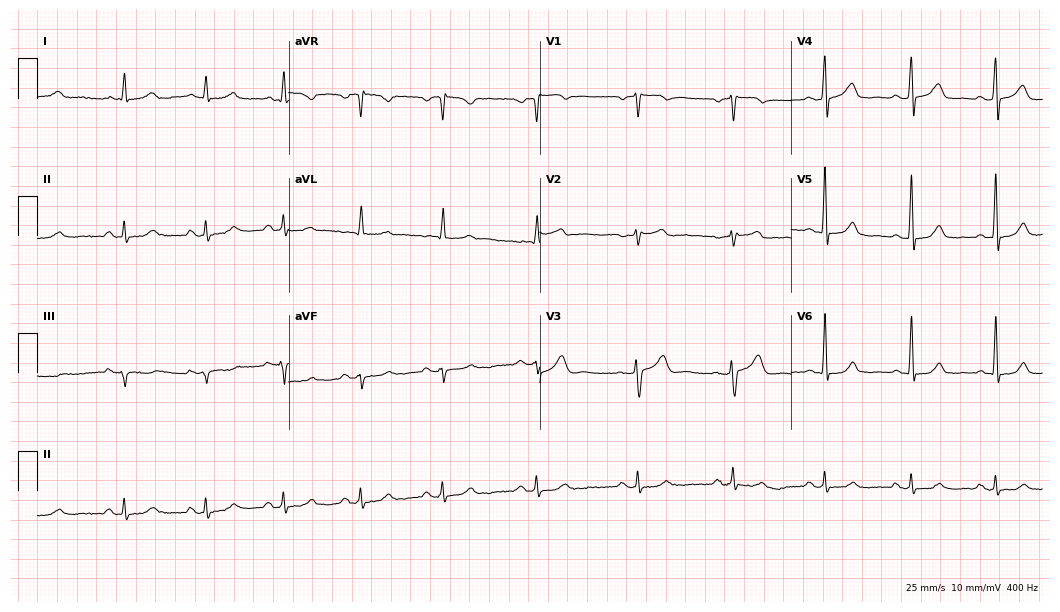
ECG — a 53-year-old male. Labelled as a normal ECG.